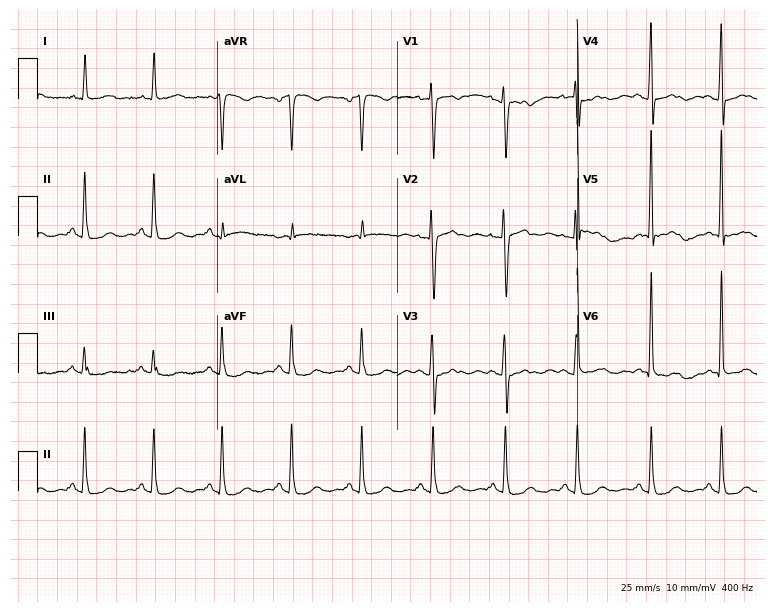
12-lead ECG from a woman, 49 years old. Screened for six findings — first-degree AV block, right bundle branch block (RBBB), left bundle branch block (LBBB), sinus bradycardia, atrial fibrillation (AF), sinus tachycardia — none is recorded.